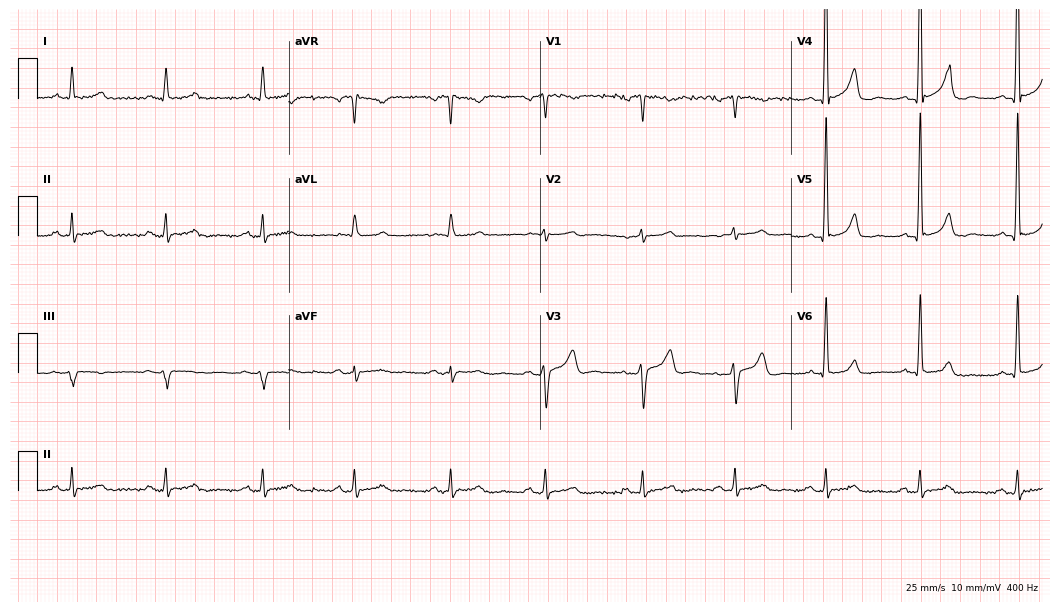
12-lead ECG from a male patient, 55 years old. Labelled as a normal ECG.